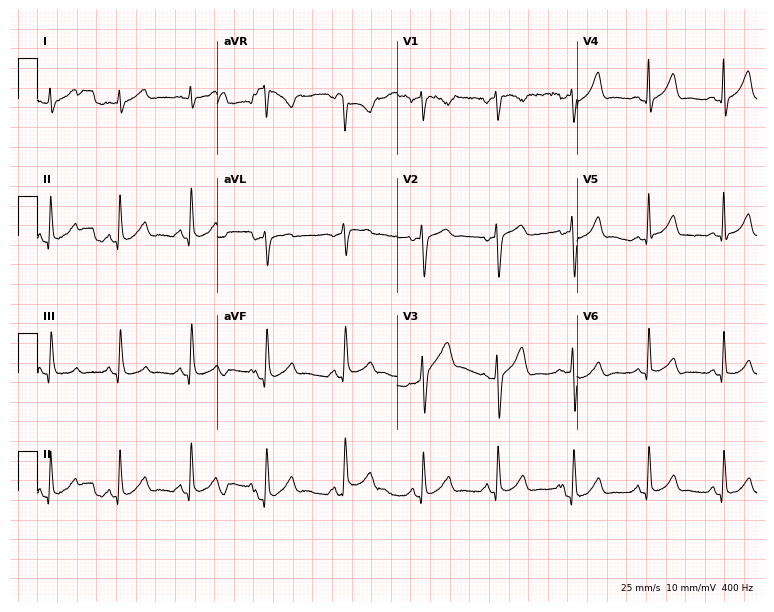
Electrocardiogram (7.3-second recording at 400 Hz), a male patient, 44 years old. Overall reading on record: normal ECG.